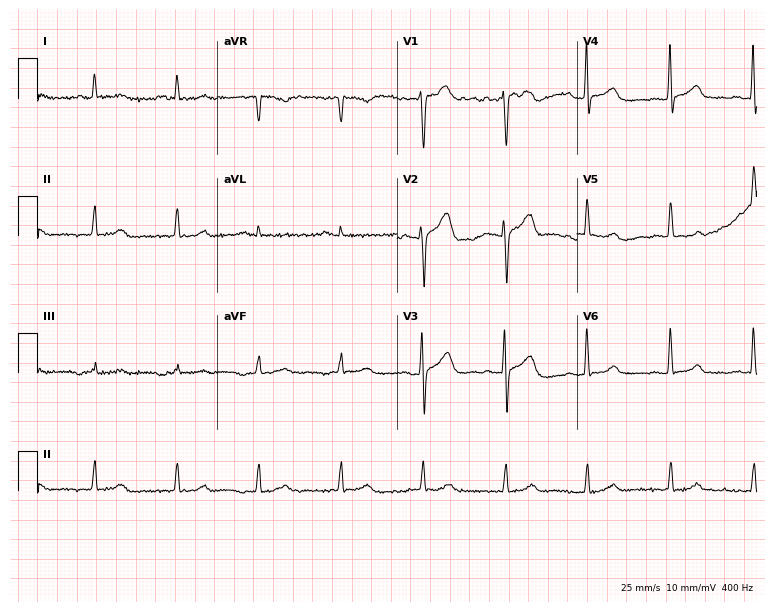
12-lead ECG (7.3-second recording at 400 Hz) from a 56-year-old male patient. Labelled as a normal ECG.